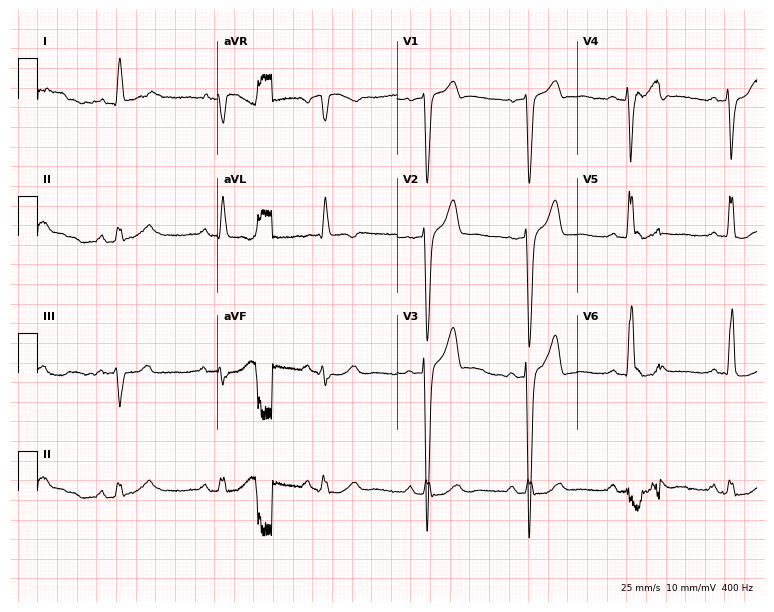
12-lead ECG from a 79-year-old man. Findings include left bundle branch block.